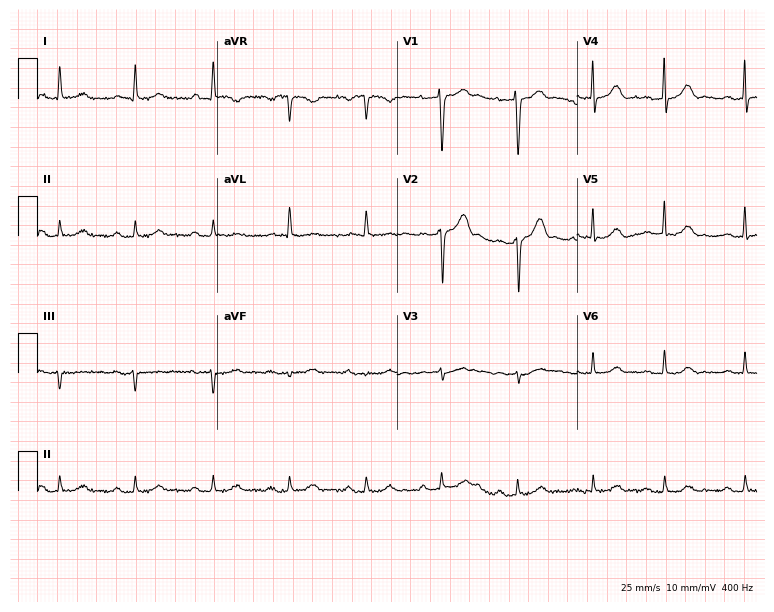
12-lead ECG from a 76-year-old female. Recorded interpretation: within normal limits.